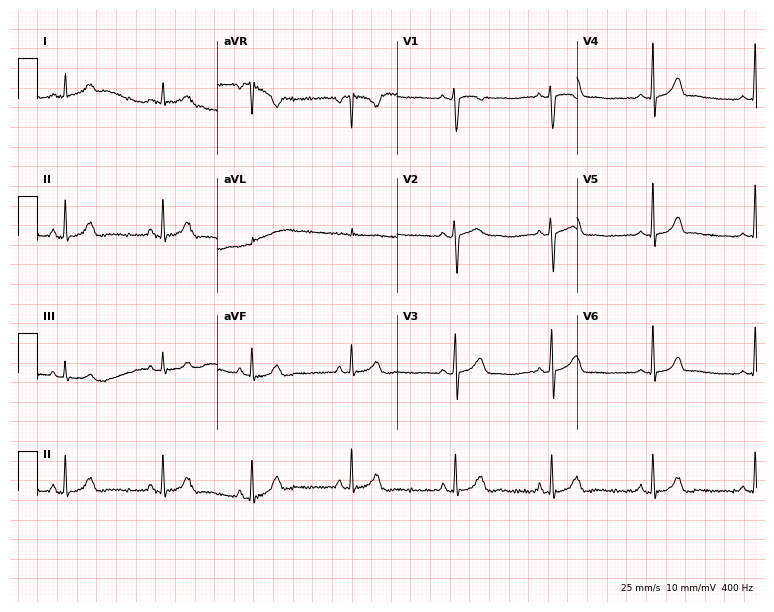
Standard 12-lead ECG recorded from a 17-year-old woman. None of these six findings is recorded: first-degree AV block, right bundle branch block (RBBB), left bundle branch block (LBBB), sinus bradycardia, atrial fibrillation (AF), sinus tachycardia. Findings outside these six are not listed.